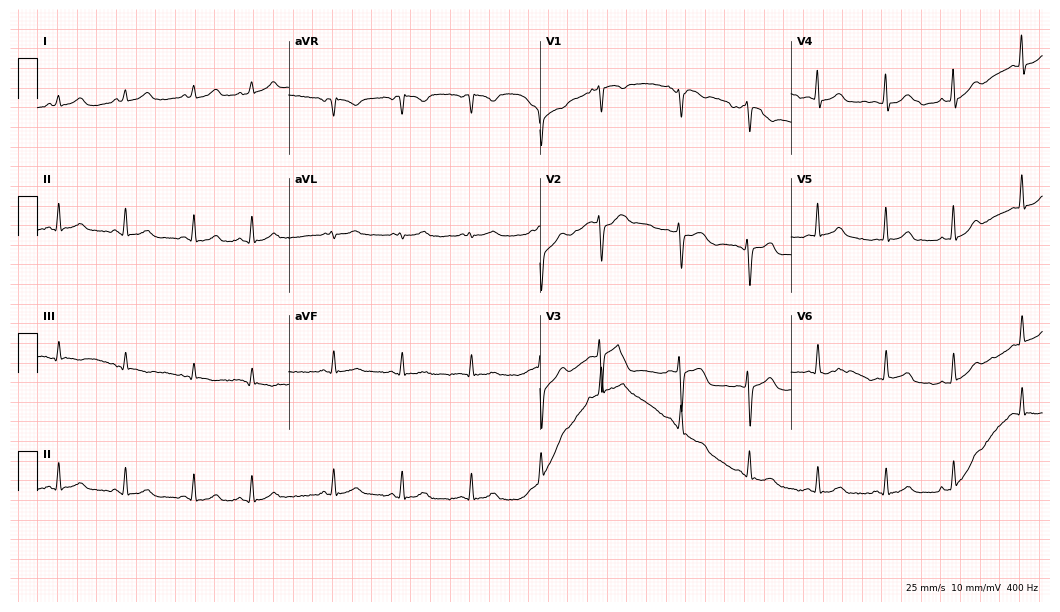
Resting 12-lead electrocardiogram (10.2-second recording at 400 Hz). Patient: a female, 37 years old. Read as a normal ECG.